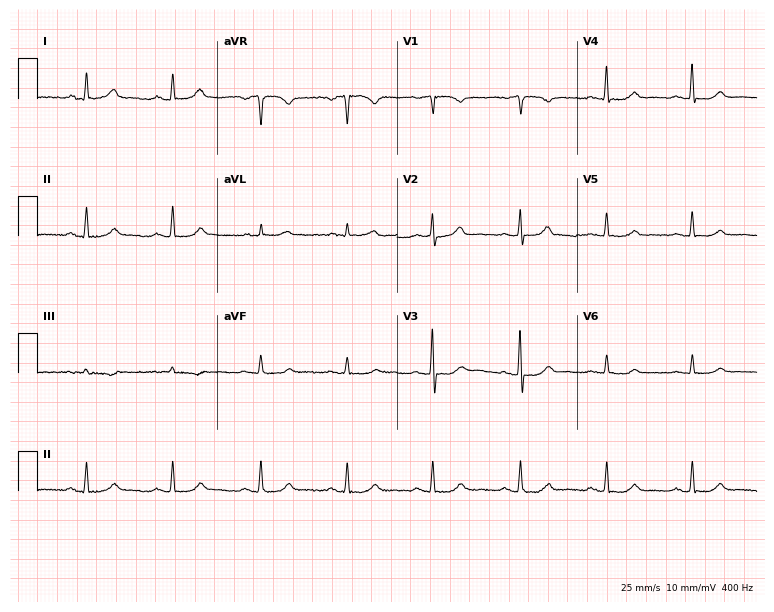
Electrocardiogram, a woman, 74 years old. Of the six screened findings (first-degree AV block, right bundle branch block, left bundle branch block, sinus bradycardia, atrial fibrillation, sinus tachycardia), none is recorded. Findings outside these six are not listed.